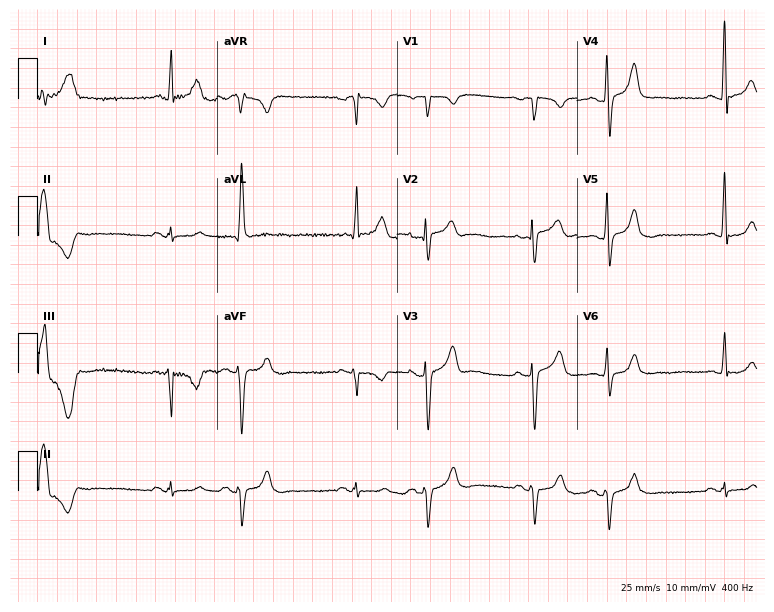
ECG — a man, 76 years old. Screened for six findings — first-degree AV block, right bundle branch block (RBBB), left bundle branch block (LBBB), sinus bradycardia, atrial fibrillation (AF), sinus tachycardia — none is recorded. Only these six findings were labelled.